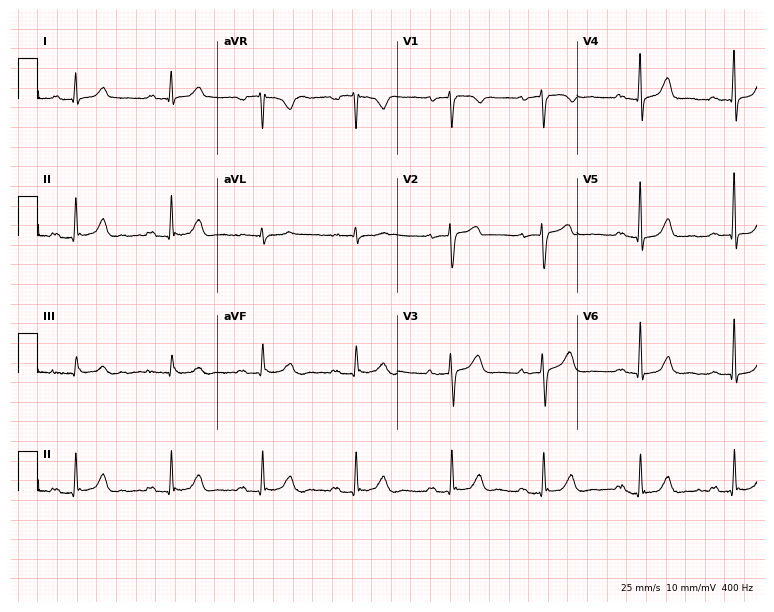
12-lead ECG (7.3-second recording at 400 Hz) from a 57-year-old female patient. Findings include first-degree AV block.